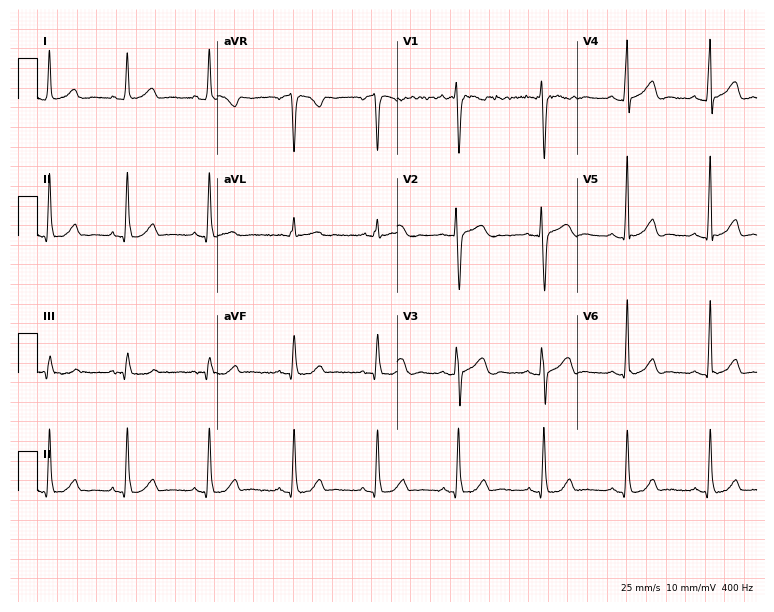
12-lead ECG from a 29-year-old female. Recorded interpretation: within normal limits.